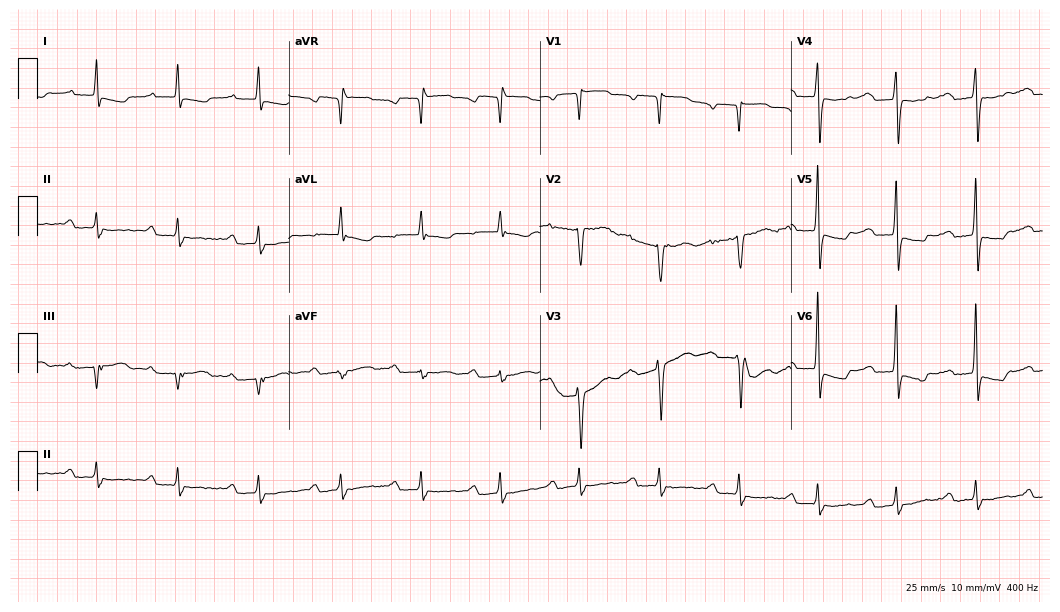
ECG — a female patient, 75 years old. Findings include first-degree AV block.